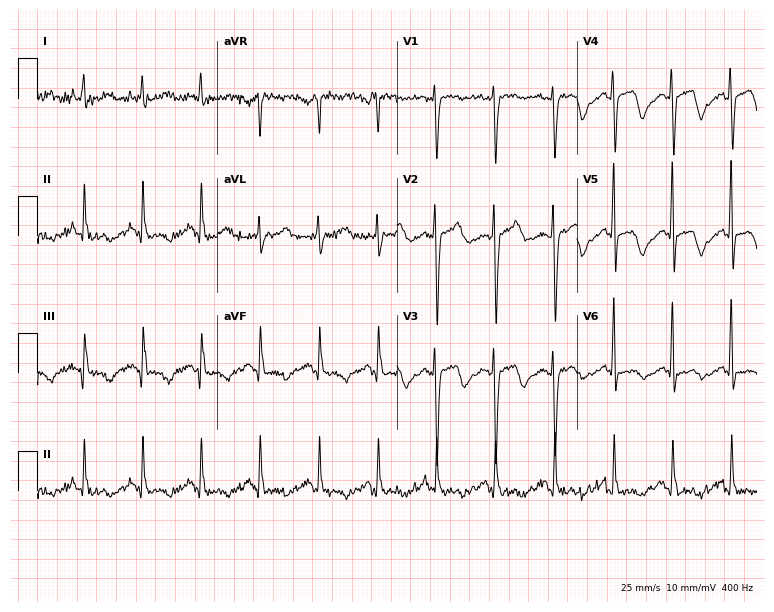
12-lead ECG from a female, 48 years old (7.3-second recording at 400 Hz). No first-degree AV block, right bundle branch block, left bundle branch block, sinus bradycardia, atrial fibrillation or sinus tachycardia recorded for this tracing. Only these six findings were labelled.